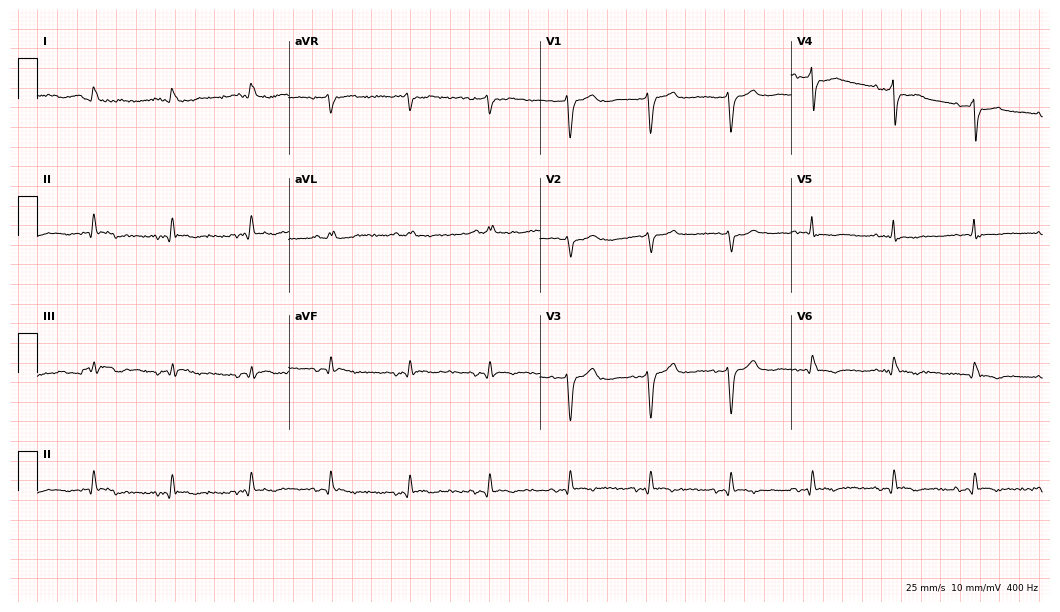
ECG — a 77-year-old female patient. Screened for six findings — first-degree AV block, right bundle branch block (RBBB), left bundle branch block (LBBB), sinus bradycardia, atrial fibrillation (AF), sinus tachycardia — none is recorded. Other findings, if any, are not listed.